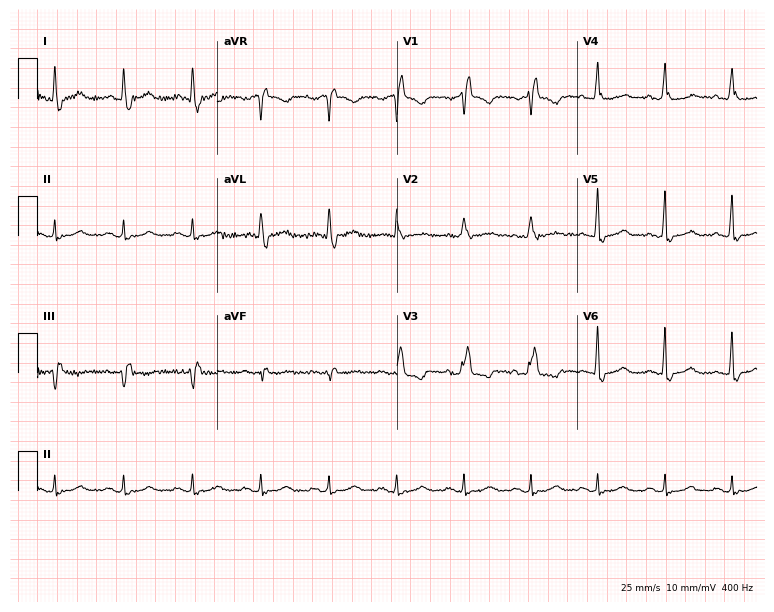
Standard 12-lead ECG recorded from a 63-year-old male patient. The tracing shows right bundle branch block (RBBB).